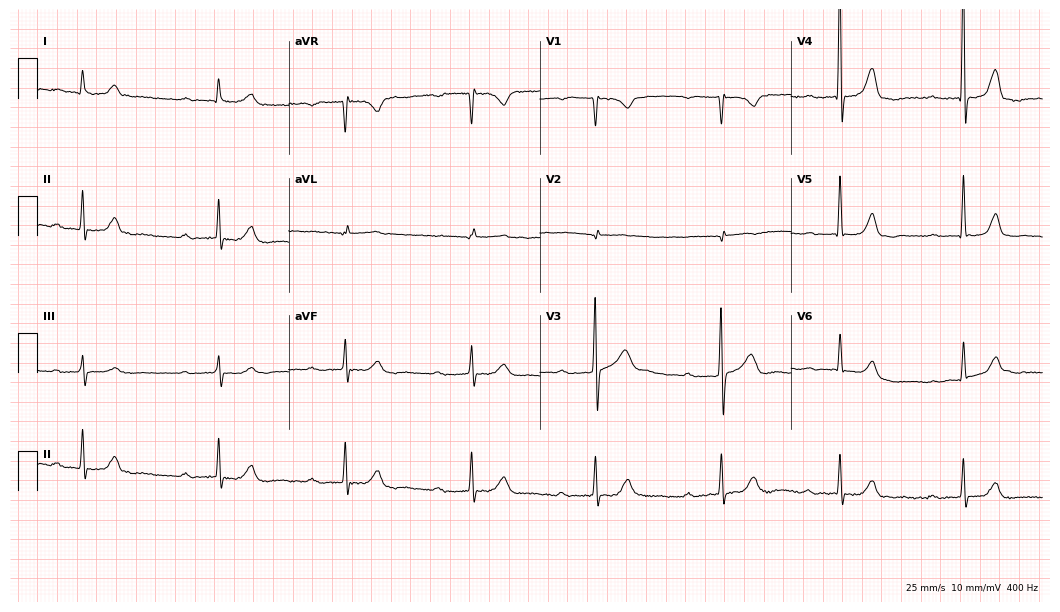
ECG (10.2-second recording at 400 Hz) — a 77-year-old male patient. Findings include first-degree AV block.